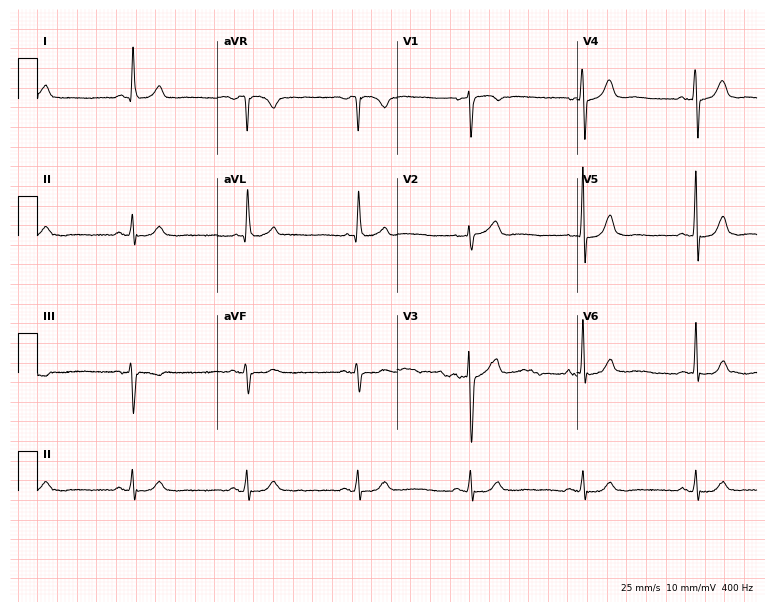
ECG (7.3-second recording at 400 Hz) — a 74-year-old male. Screened for six findings — first-degree AV block, right bundle branch block (RBBB), left bundle branch block (LBBB), sinus bradycardia, atrial fibrillation (AF), sinus tachycardia — none is recorded. Findings outside these six are not listed.